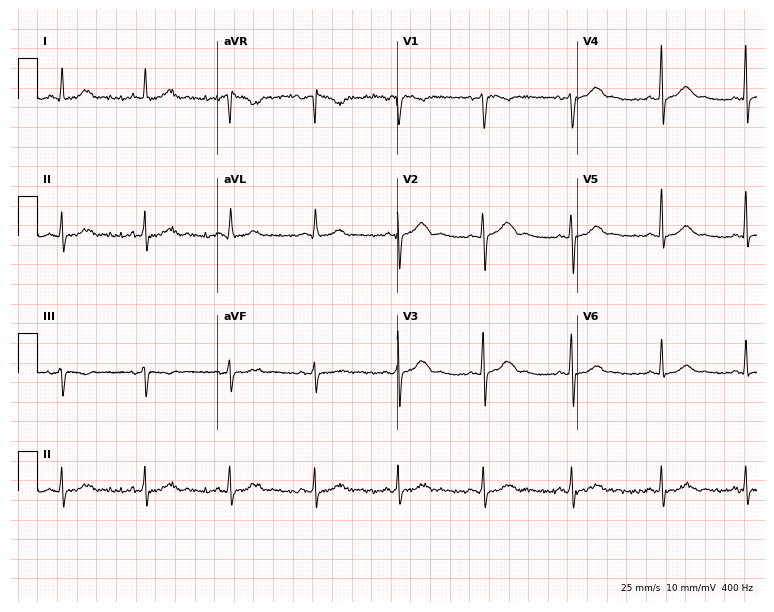
Standard 12-lead ECG recorded from a woman, 38 years old. Read as a normal ECG.